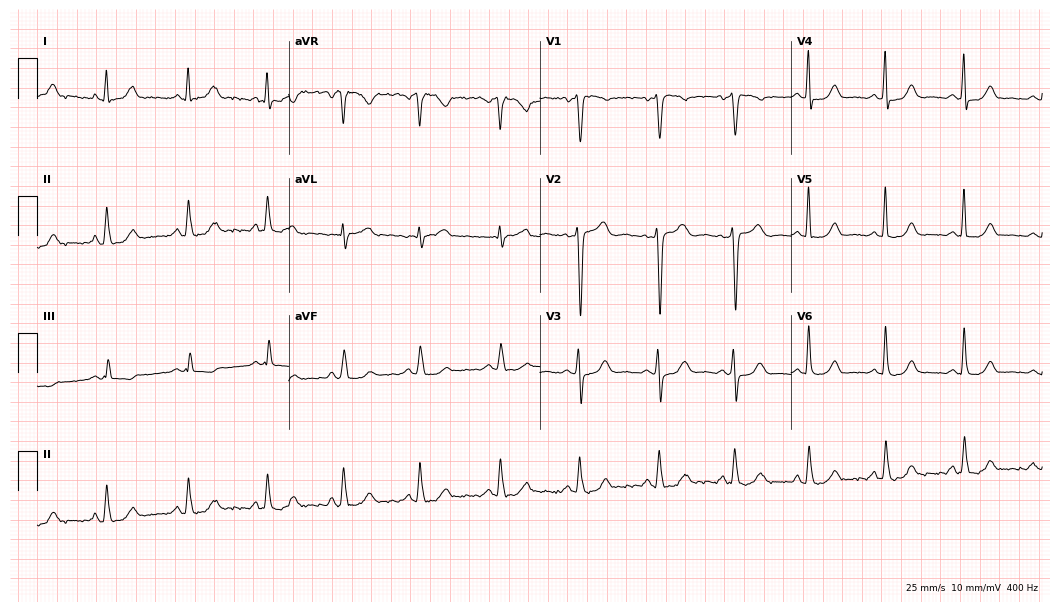
Standard 12-lead ECG recorded from a female, 55 years old. None of these six findings is recorded: first-degree AV block, right bundle branch block, left bundle branch block, sinus bradycardia, atrial fibrillation, sinus tachycardia. Only these six findings were labelled.